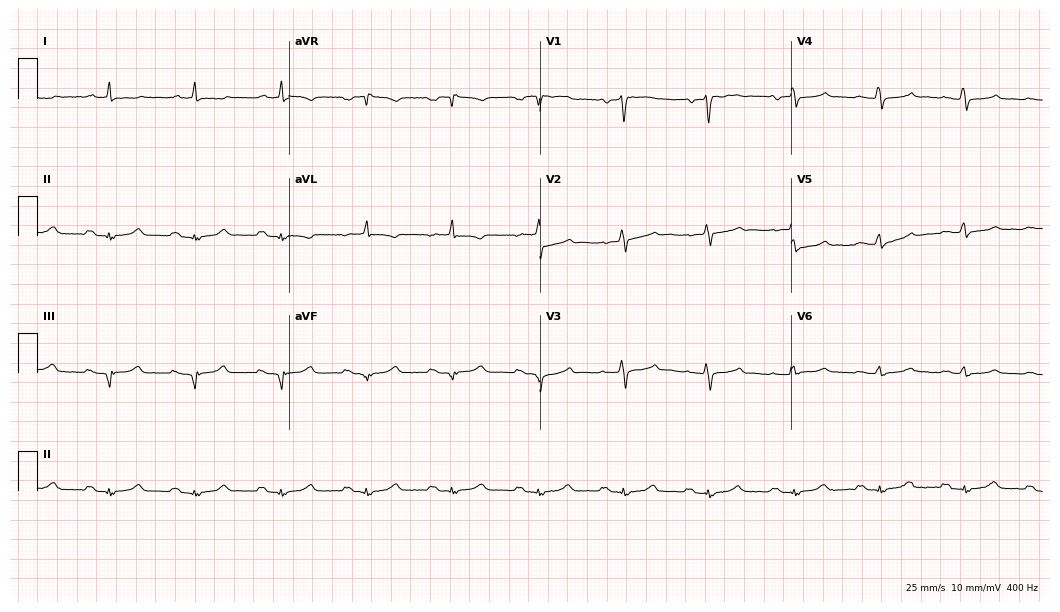
Resting 12-lead electrocardiogram. Patient: a 53-year-old male. None of these six findings is recorded: first-degree AV block, right bundle branch block, left bundle branch block, sinus bradycardia, atrial fibrillation, sinus tachycardia. Only these six findings were labelled.